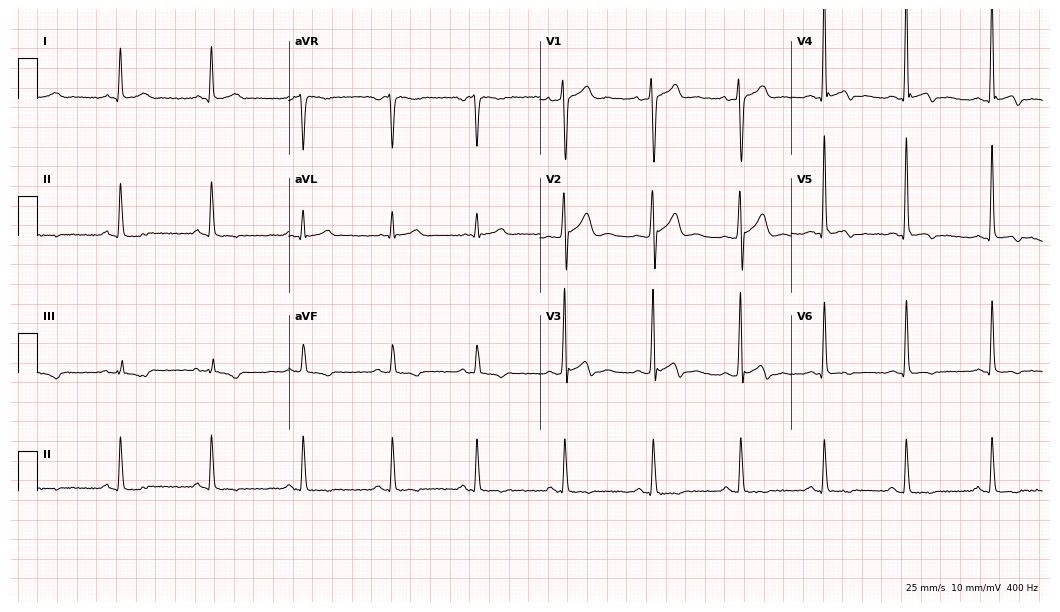
ECG — a male, 44 years old. Screened for six findings — first-degree AV block, right bundle branch block, left bundle branch block, sinus bradycardia, atrial fibrillation, sinus tachycardia — none is recorded.